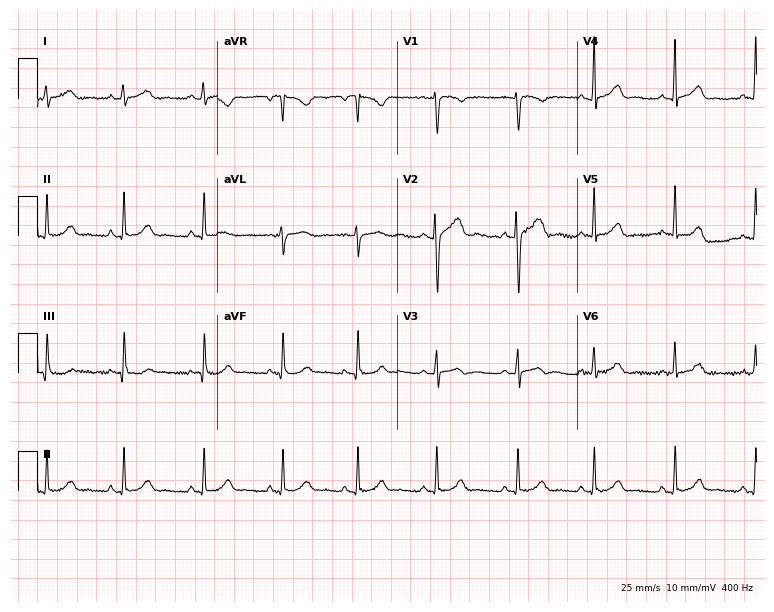
12-lead ECG from a 21-year-old woman (7.3-second recording at 400 Hz). No first-degree AV block, right bundle branch block, left bundle branch block, sinus bradycardia, atrial fibrillation or sinus tachycardia recorded for this tracing.